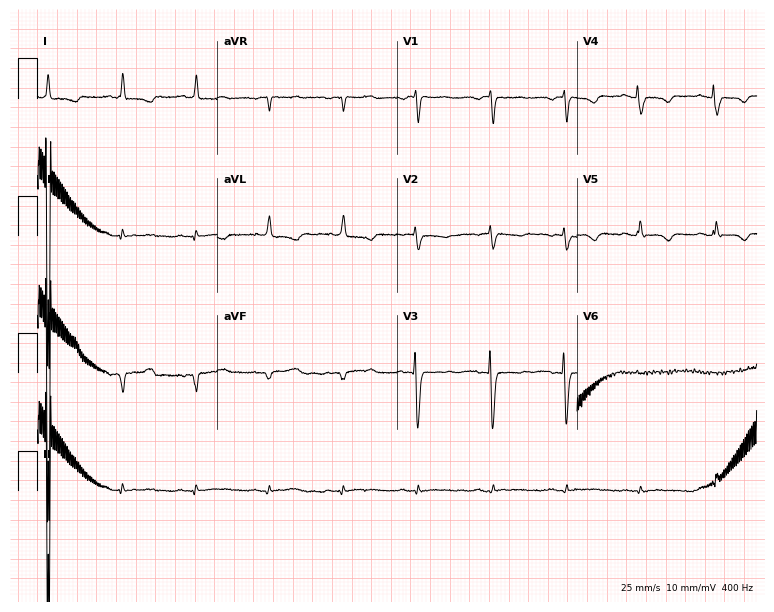
ECG (7.3-second recording at 400 Hz) — a female patient, 65 years old. Screened for six findings — first-degree AV block, right bundle branch block, left bundle branch block, sinus bradycardia, atrial fibrillation, sinus tachycardia — none is recorded.